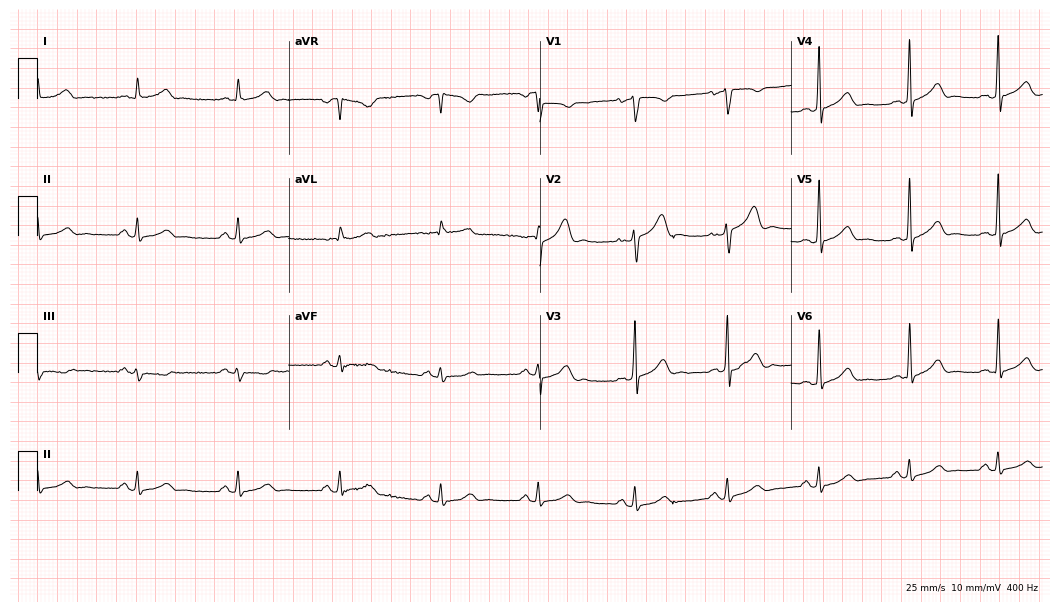
Electrocardiogram (10.2-second recording at 400 Hz), a male patient, 44 years old. Of the six screened findings (first-degree AV block, right bundle branch block, left bundle branch block, sinus bradycardia, atrial fibrillation, sinus tachycardia), none is recorded.